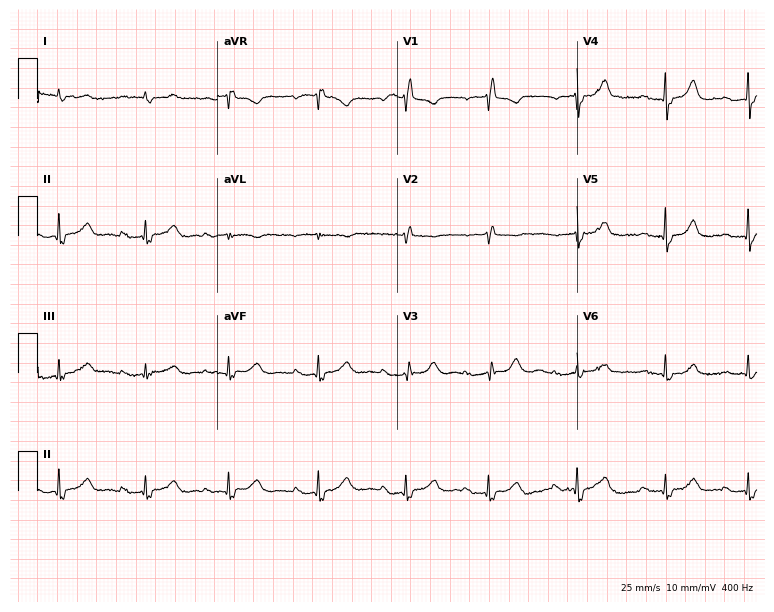
12-lead ECG from an 83-year-old male patient. Shows first-degree AV block.